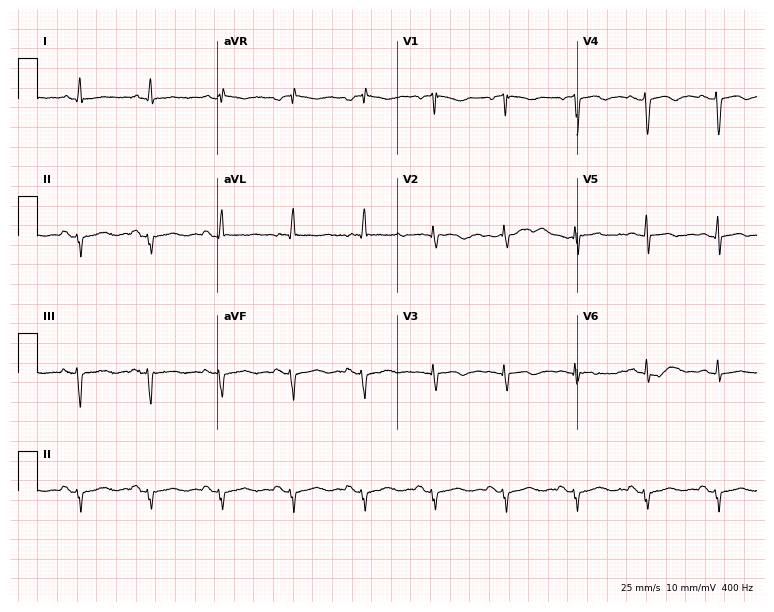
12-lead ECG from a 61-year-old female (7.3-second recording at 400 Hz). No first-degree AV block, right bundle branch block, left bundle branch block, sinus bradycardia, atrial fibrillation or sinus tachycardia recorded for this tracing. Findings outside these six are not listed.